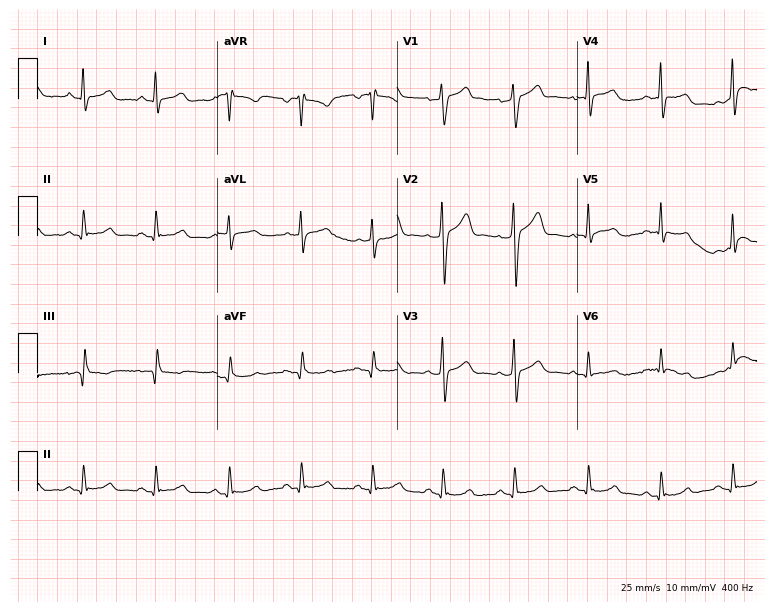
12-lead ECG from a 28-year-old male. No first-degree AV block, right bundle branch block (RBBB), left bundle branch block (LBBB), sinus bradycardia, atrial fibrillation (AF) or sinus tachycardia recorded for this tracing.